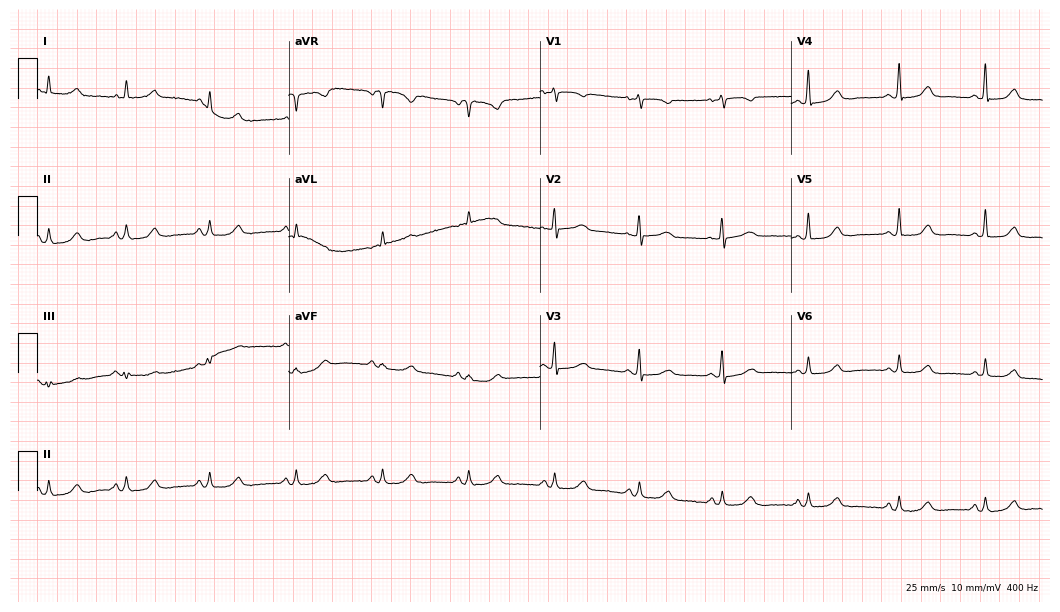
12-lead ECG from a woman, 72 years old (10.2-second recording at 400 Hz). Recorded interpretation: within normal limits.